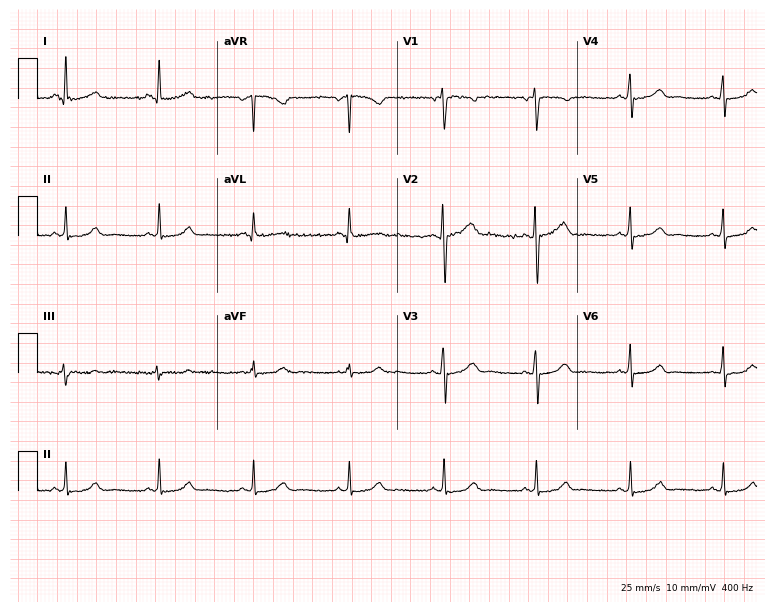
ECG (7.3-second recording at 400 Hz) — a 37-year-old male patient. Screened for six findings — first-degree AV block, right bundle branch block, left bundle branch block, sinus bradycardia, atrial fibrillation, sinus tachycardia — none is recorded. Only these six findings were labelled.